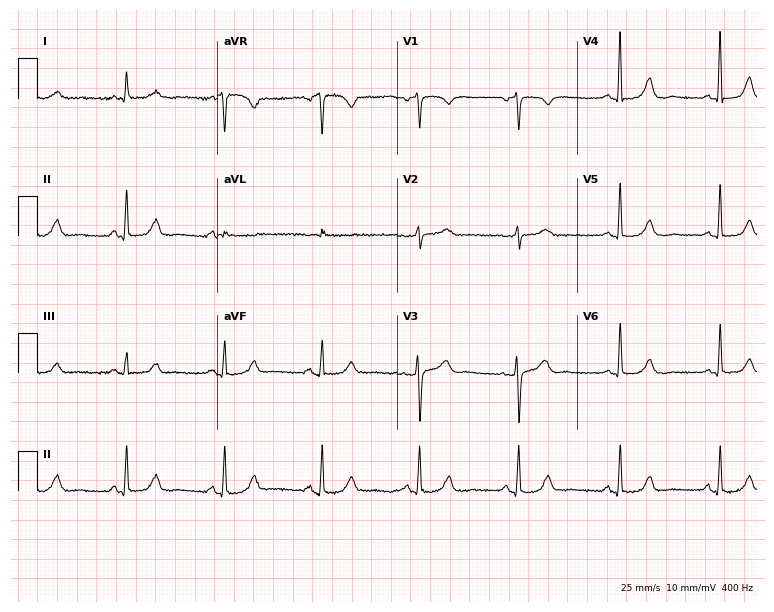
Electrocardiogram (7.3-second recording at 400 Hz), a woman, 69 years old. Overall reading on record: normal ECG.